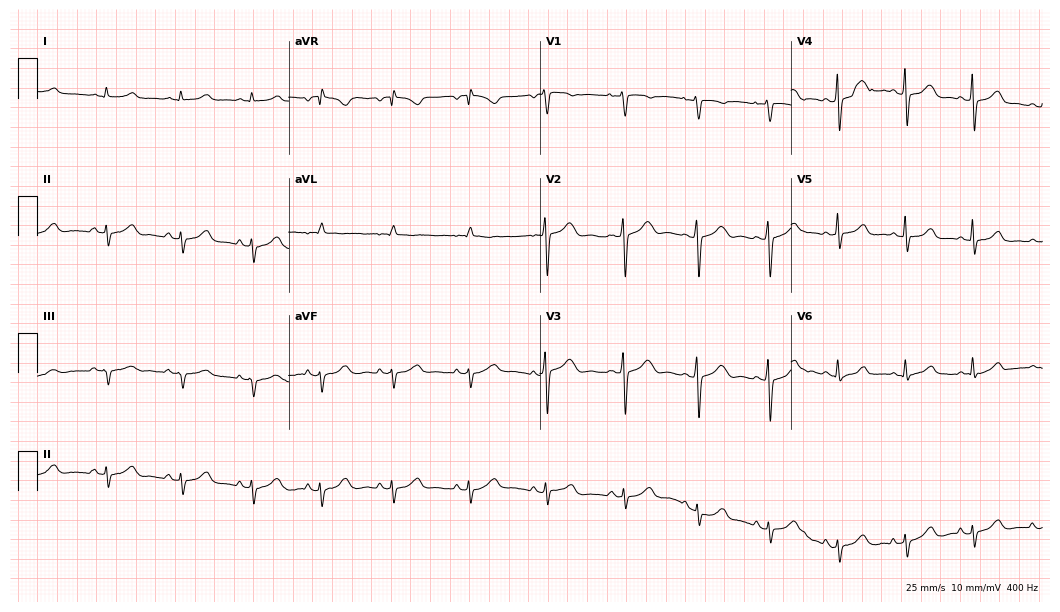
12-lead ECG from a woman, 40 years old (10.2-second recording at 400 Hz). No first-degree AV block, right bundle branch block, left bundle branch block, sinus bradycardia, atrial fibrillation or sinus tachycardia recorded for this tracing.